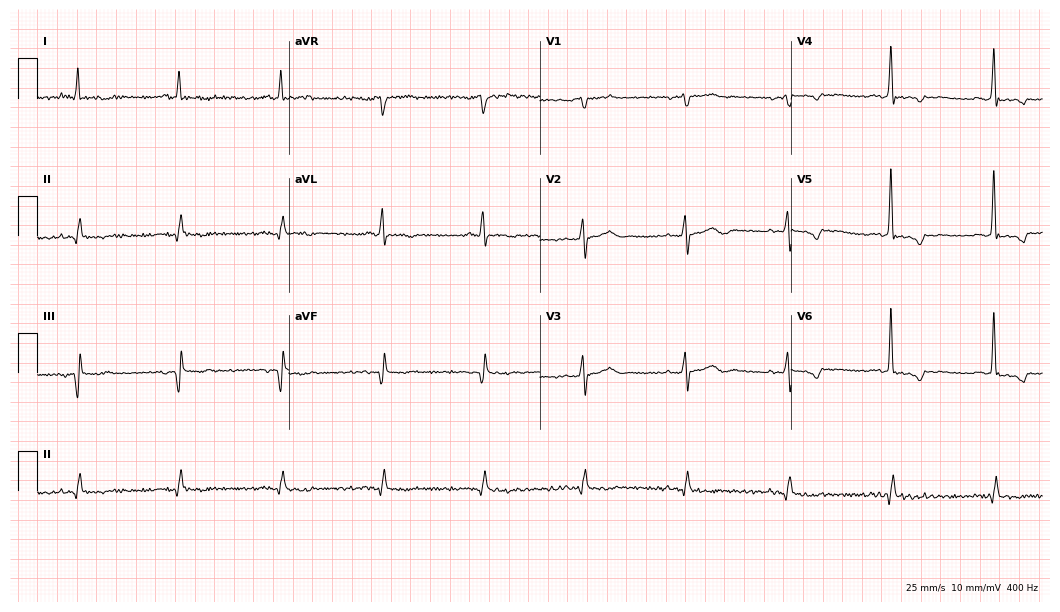
12-lead ECG from a 66-year-old man. Screened for six findings — first-degree AV block, right bundle branch block, left bundle branch block, sinus bradycardia, atrial fibrillation, sinus tachycardia — none is recorded.